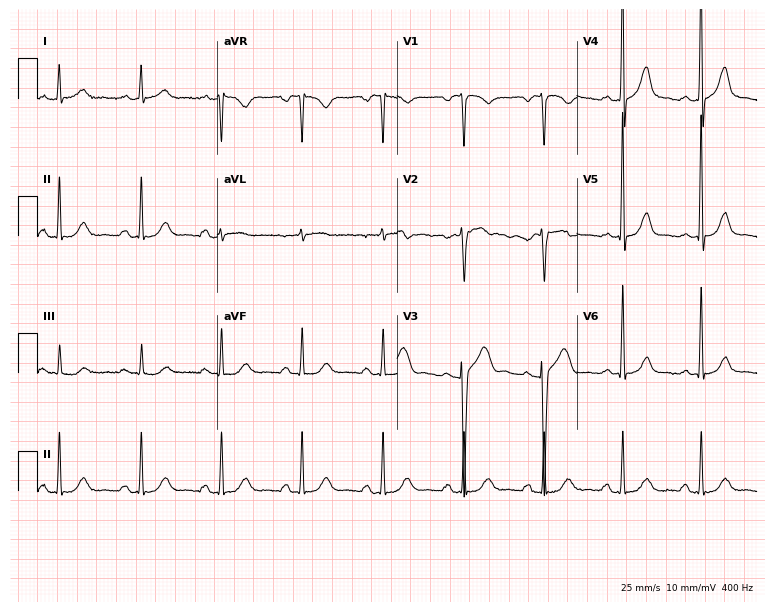
Electrocardiogram (7.3-second recording at 400 Hz), a 72-year-old man. Of the six screened findings (first-degree AV block, right bundle branch block, left bundle branch block, sinus bradycardia, atrial fibrillation, sinus tachycardia), none is recorded.